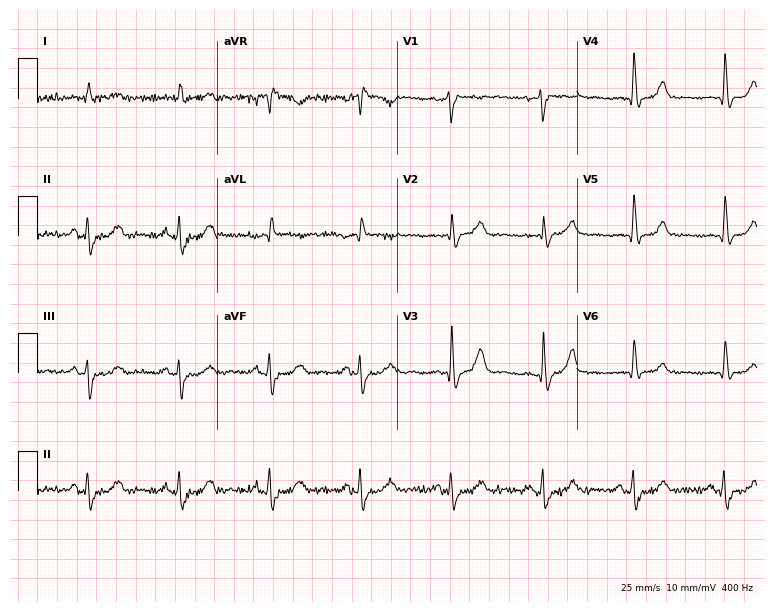
Electrocardiogram, a male, 85 years old. Of the six screened findings (first-degree AV block, right bundle branch block (RBBB), left bundle branch block (LBBB), sinus bradycardia, atrial fibrillation (AF), sinus tachycardia), none is recorded. Only these six findings were labelled.